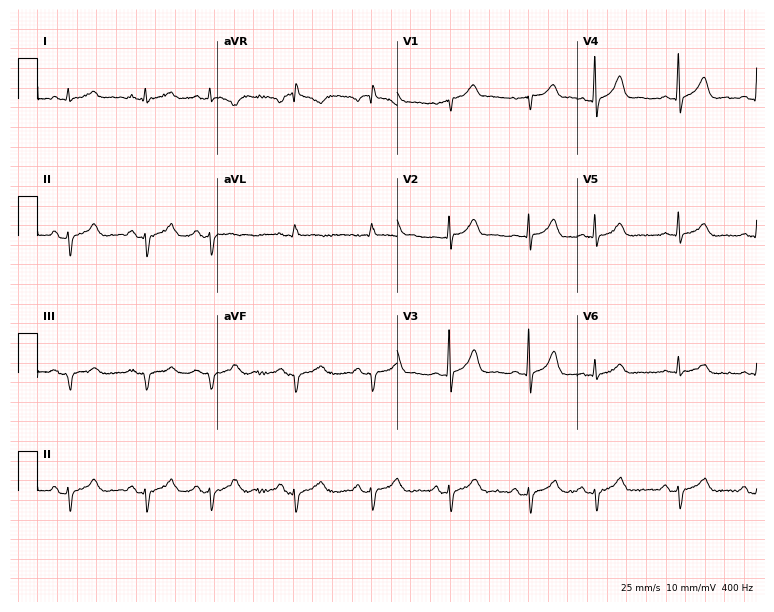
12-lead ECG from a 74-year-old male patient (7.3-second recording at 400 Hz). No first-degree AV block, right bundle branch block (RBBB), left bundle branch block (LBBB), sinus bradycardia, atrial fibrillation (AF) or sinus tachycardia recorded for this tracing.